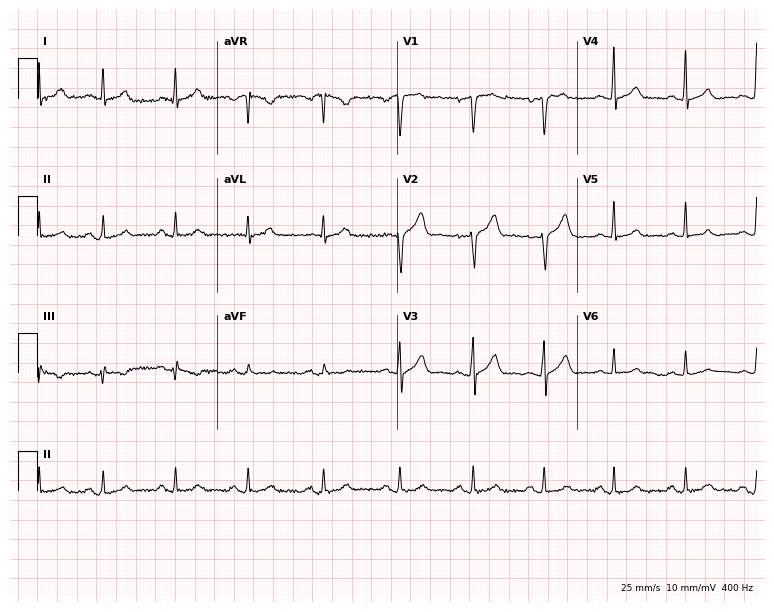
Electrocardiogram, a 37-year-old male. Overall reading on record: normal ECG.